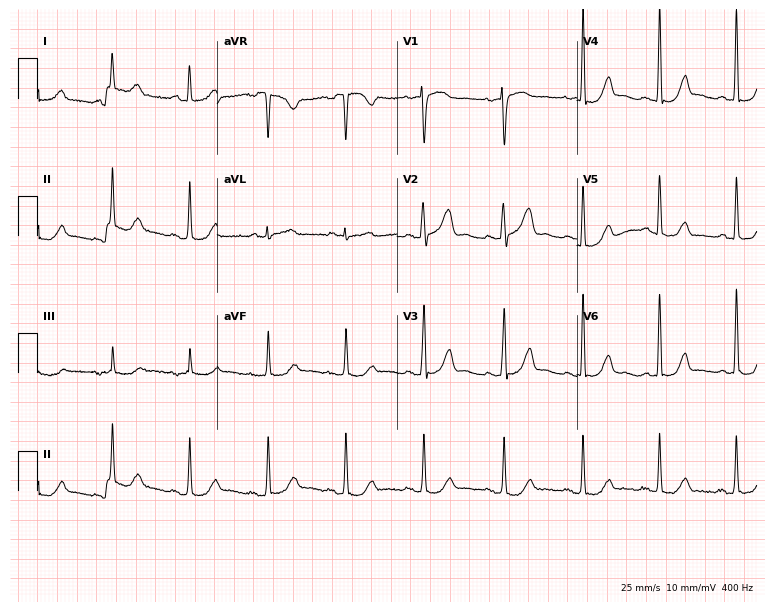
ECG — a female patient, 58 years old. Screened for six findings — first-degree AV block, right bundle branch block (RBBB), left bundle branch block (LBBB), sinus bradycardia, atrial fibrillation (AF), sinus tachycardia — none is recorded.